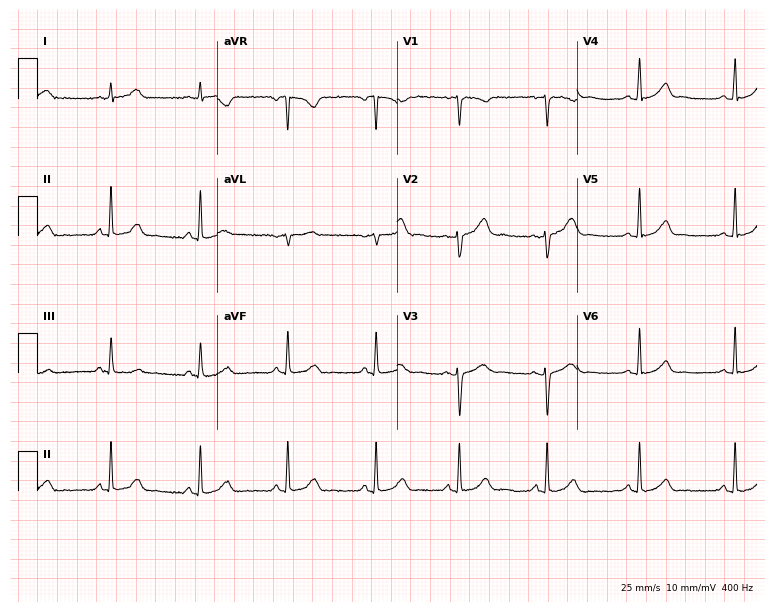
ECG (7.3-second recording at 400 Hz) — a 30-year-old female. Labelled as a normal ECG.